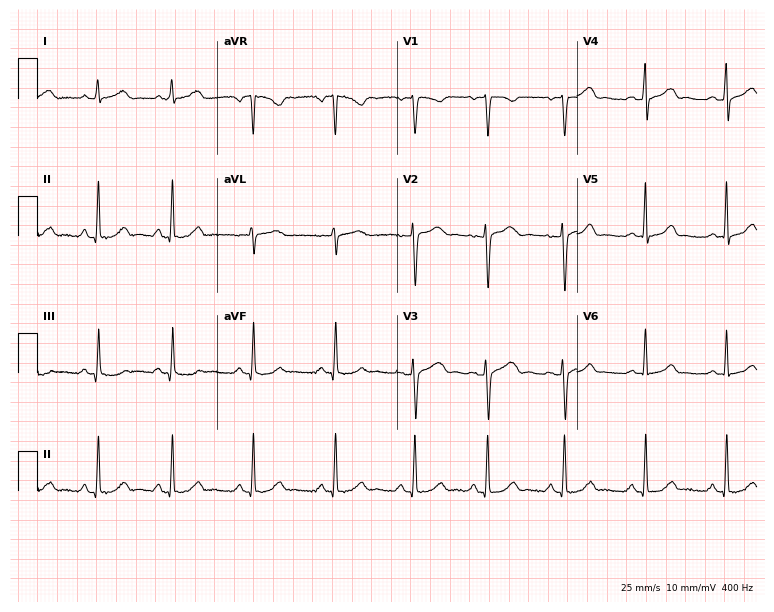
12-lead ECG from a 37-year-old female patient. Labelled as a normal ECG.